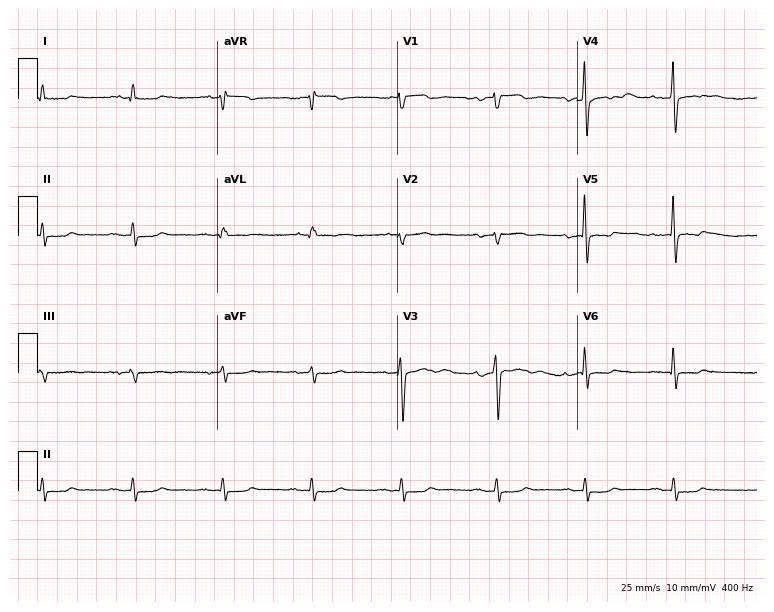
ECG — an 84-year-old male patient. Labelled as a normal ECG.